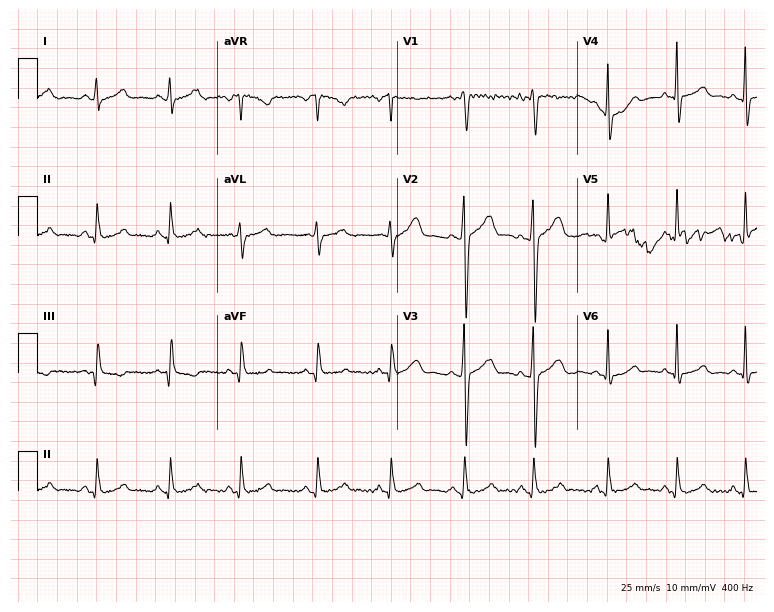
Standard 12-lead ECG recorded from a 31-year-old female (7.3-second recording at 400 Hz). None of these six findings is recorded: first-degree AV block, right bundle branch block, left bundle branch block, sinus bradycardia, atrial fibrillation, sinus tachycardia.